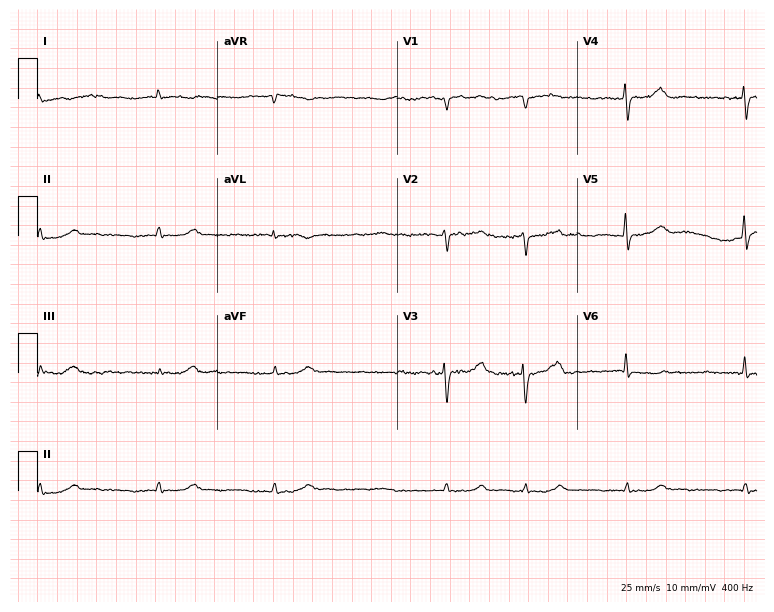
Resting 12-lead electrocardiogram. Patient: a male, 79 years old. The tracing shows atrial fibrillation (AF).